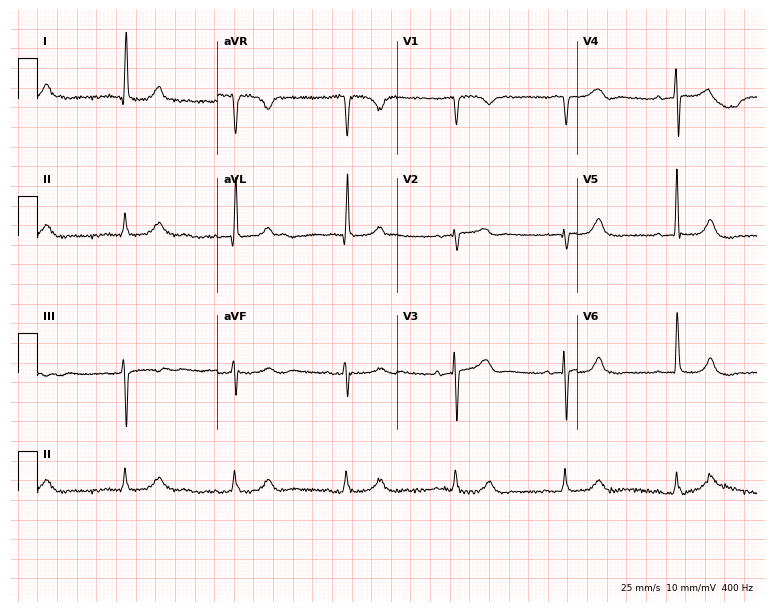
Electrocardiogram (7.3-second recording at 400 Hz), a female patient, 77 years old. Overall reading on record: normal ECG.